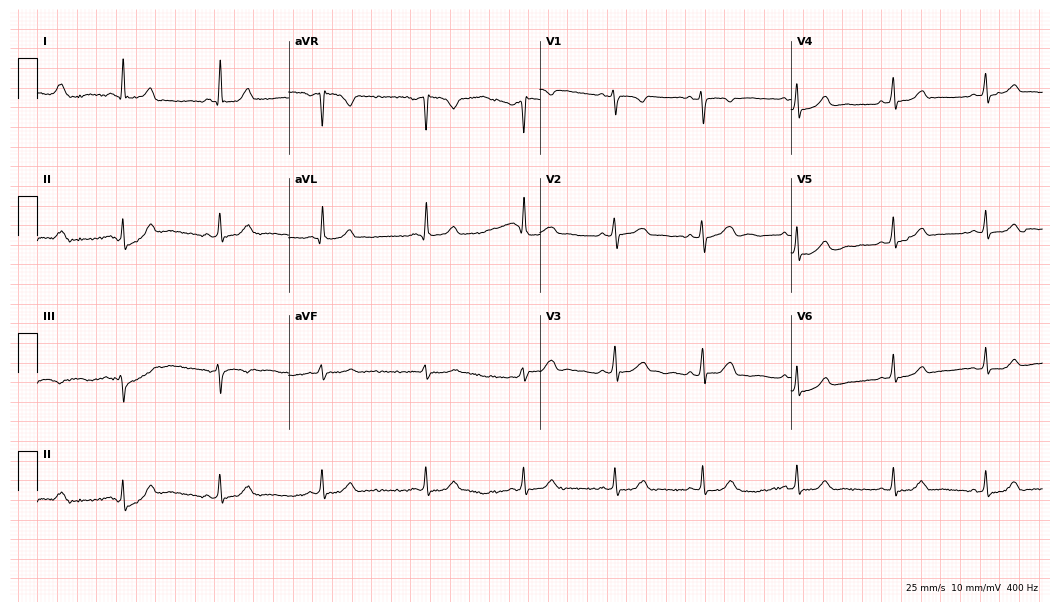
Standard 12-lead ECG recorded from a 39-year-old female (10.2-second recording at 400 Hz). Read as a normal ECG.